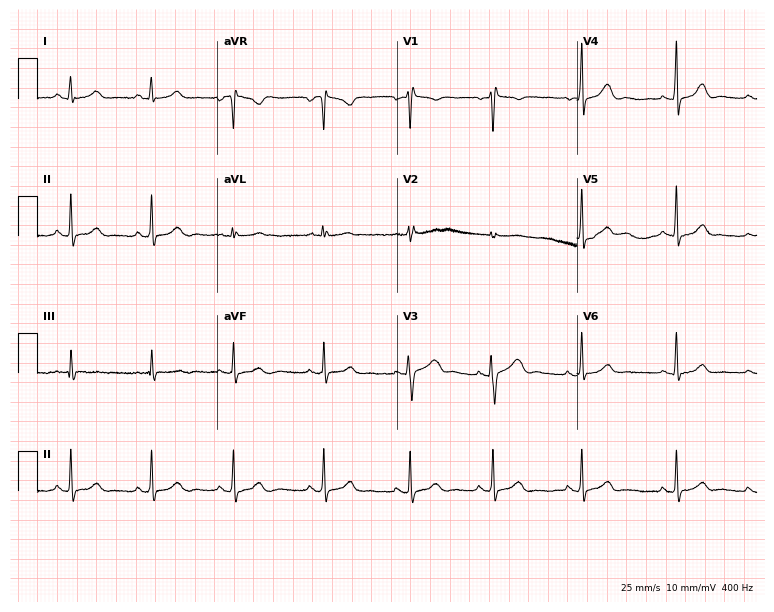
Resting 12-lead electrocardiogram. Patient: a 29-year-old female. None of these six findings is recorded: first-degree AV block, right bundle branch block, left bundle branch block, sinus bradycardia, atrial fibrillation, sinus tachycardia. Only these six findings were labelled.